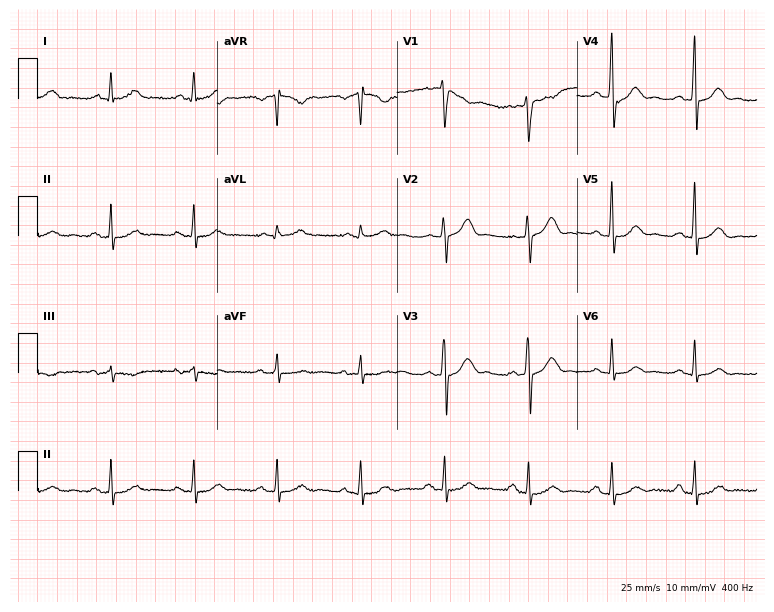
Standard 12-lead ECG recorded from a 52-year-old male (7.3-second recording at 400 Hz). Read as a normal ECG.